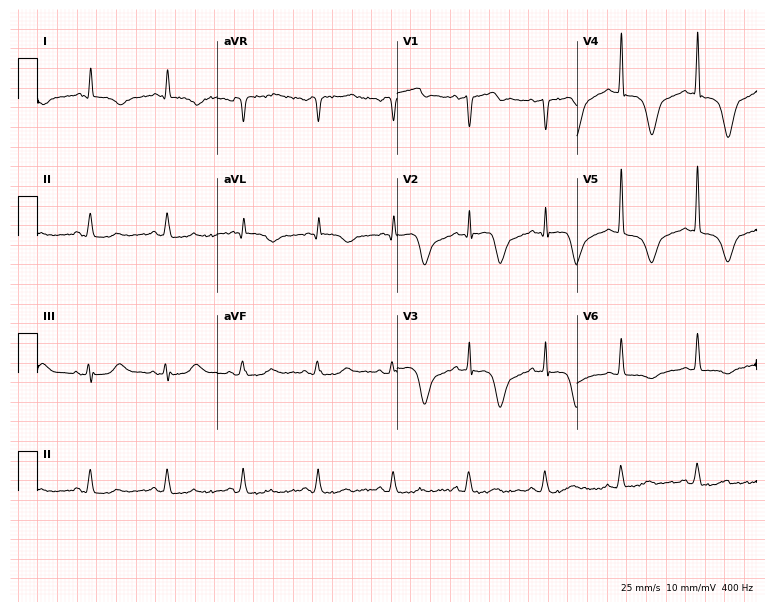
12-lead ECG from a man, 69 years old (7.3-second recording at 400 Hz). No first-degree AV block, right bundle branch block, left bundle branch block, sinus bradycardia, atrial fibrillation or sinus tachycardia recorded for this tracing.